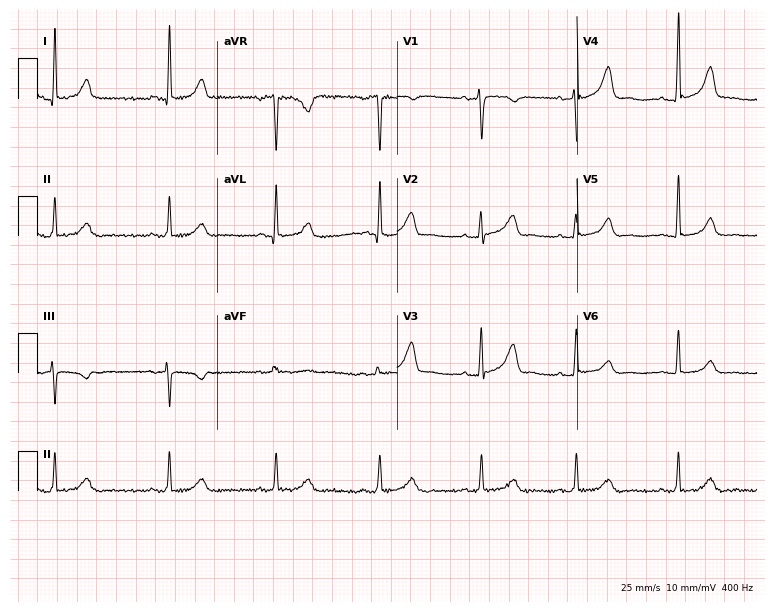
Standard 12-lead ECG recorded from a female patient, 41 years old. None of these six findings is recorded: first-degree AV block, right bundle branch block, left bundle branch block, sinus bradycardia, atrial fibrillation, sinus tachycardia. Findings outside these six are not listed.